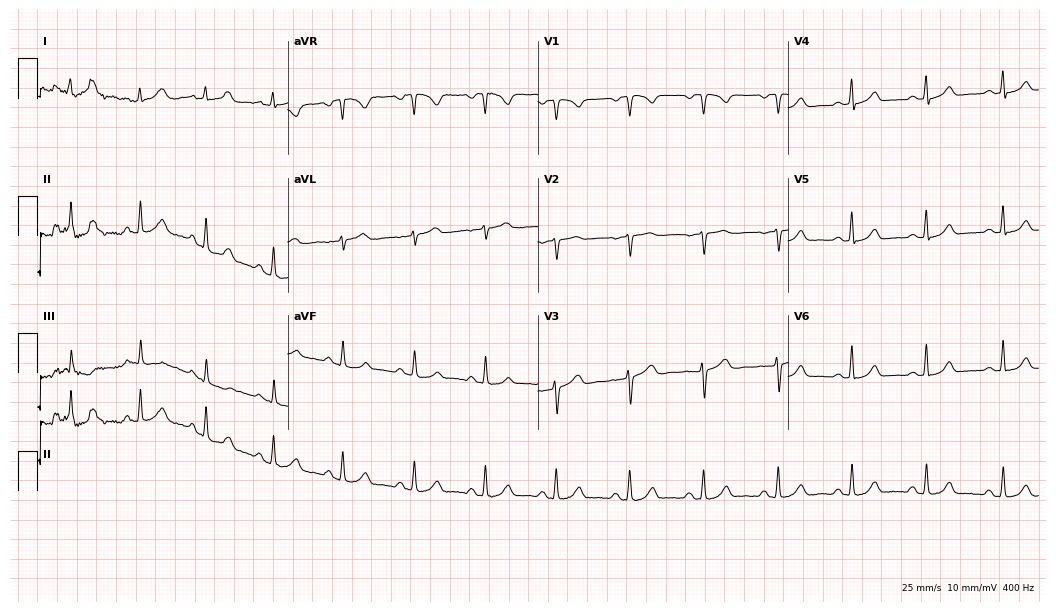
12-lead ECG from a 33-year-old female. No first-degree AV block, right bundle branch block, left bundle branch block, sinus bradycardia, atrial fibrillation or sinus tachycardia recorded for this tracing. Findings outside these six are not listed.